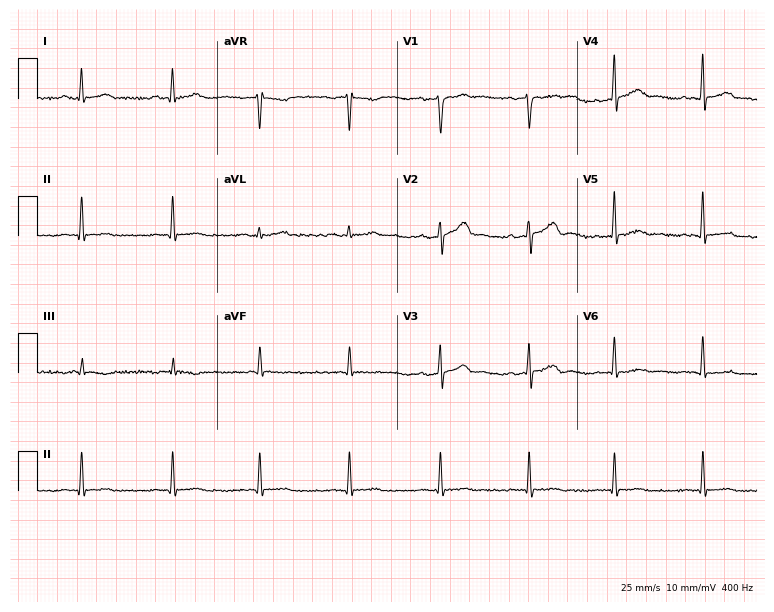
12-lead ECG from a male patient, 33 years old. No first-degree AV block, right bundle branch block, left bundle branch block, sinus bradycardia, atrial fibrillation or sinus tachycardia recorded for this tracing. Findings outside these six are not listed.